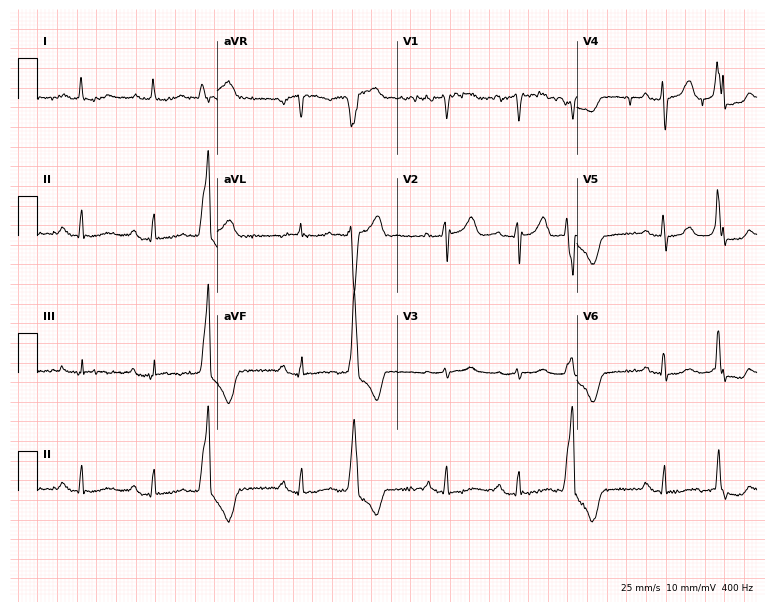
12-lead ECG from a woman, 70 years old. No first-degree AV block, right bundle branch block (RBBB), left bundle branch block (LBBB), sinus bradycardia, atrial fibrillation (AF) or sinus tachycardia recorded for this tracing. Only these six findings were labelled.